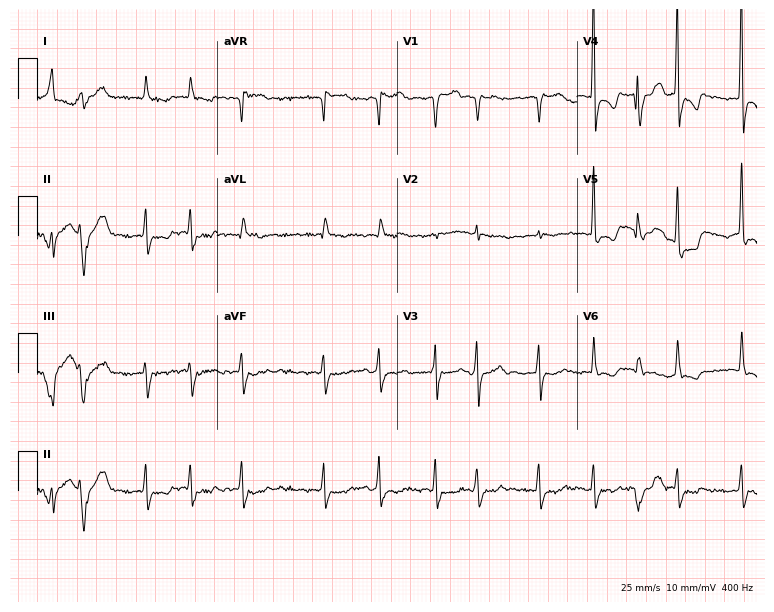
12-lead ECG from a woman, 85 years old. Findings include atrial fibrillation.